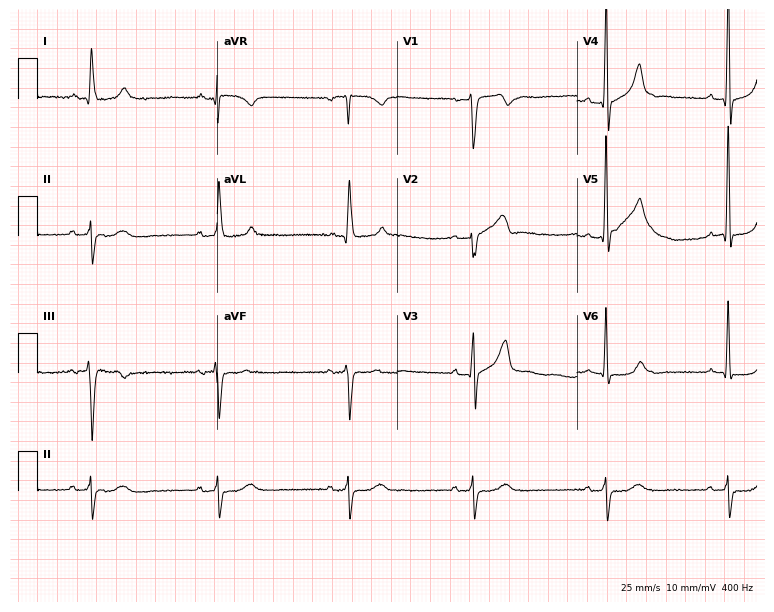
Electrocardiogram, a male patient, 75 years old. Interpretation includes sinus bradycardia (a sinus rate of 50 beats per minute or less).